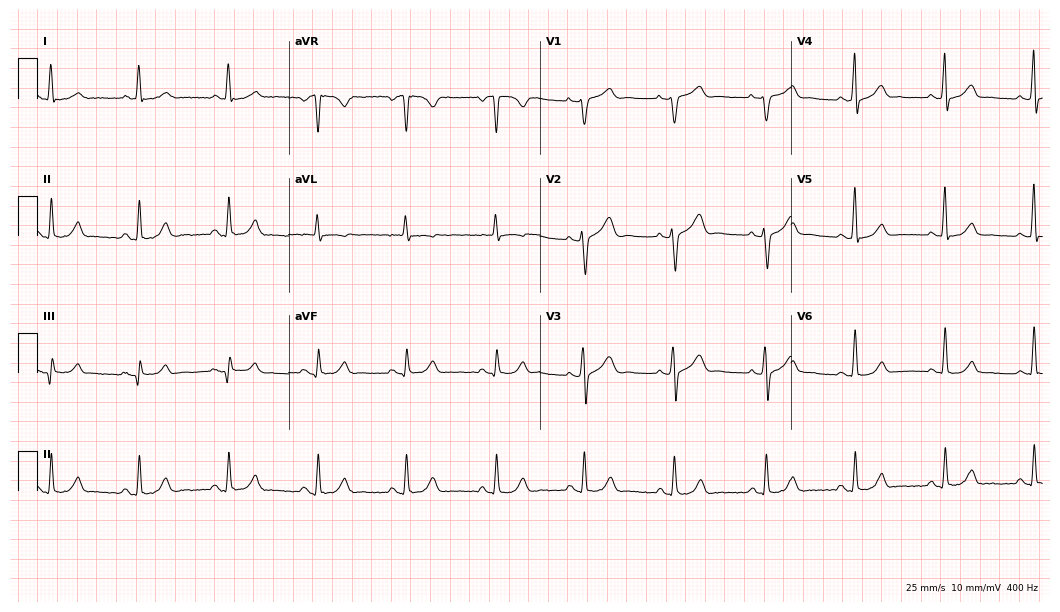
Electrocardiogram, a man, 52 years old. Overall reading on record: normal ECG.